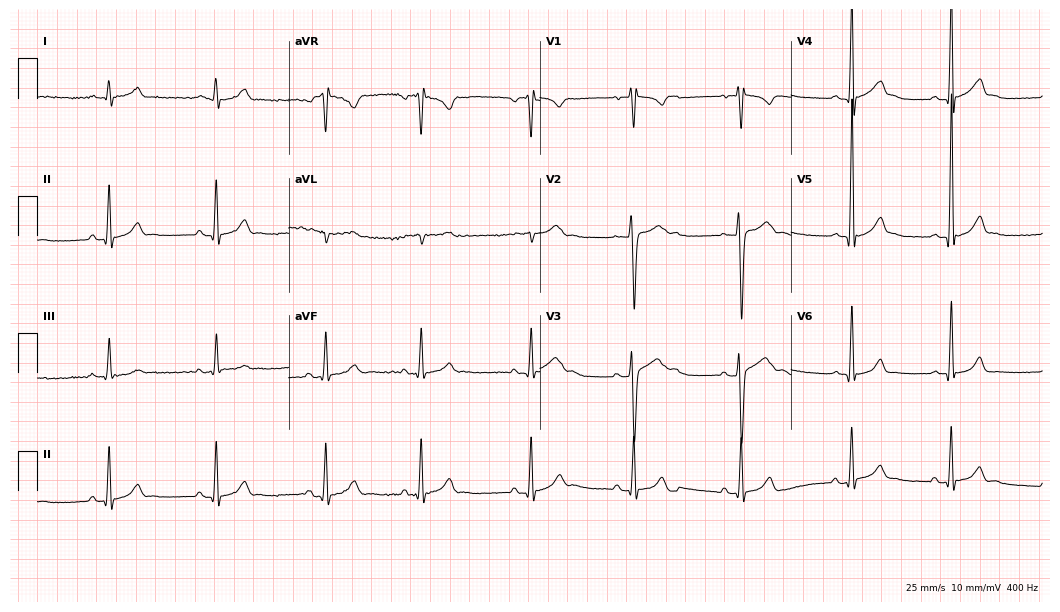
Electrocardiogram (10.2-second recording at 400 Hz), a 17-year-old man. Overall reading on record: normal ECG.